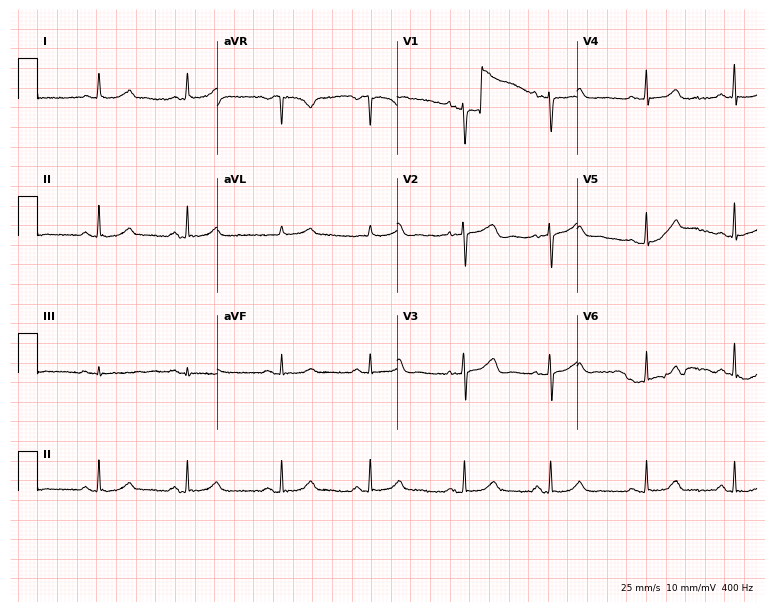
Resting 12-lead electrocardiogram (7.3-second recording at 400 Hz). Patient: a female, 69 years old. Read as a normal ECG.